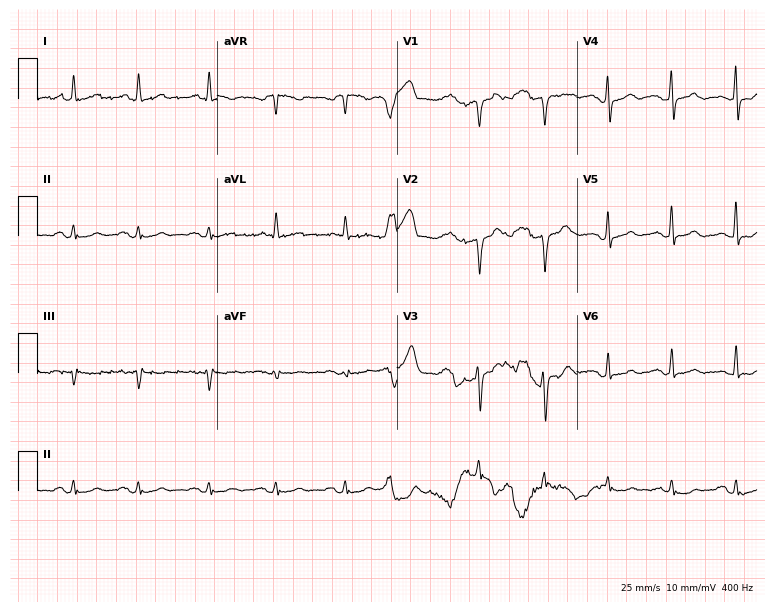
12-lead ECG from a 73-year-old man. No first-degree AV block, right bundle branch block (RBBB), left bundle branch block (LBBB), sinus bradycardia, atrial fibrillation (AF) or sinus tachycardia recorded for this tracing. Findings outside these six are not listed.